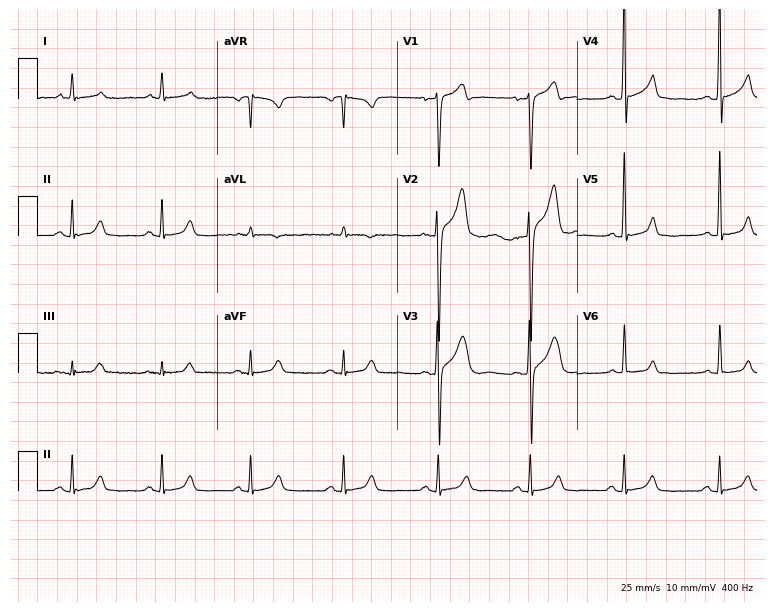
ECG — a man, 51 years old. Labelled as a normal ECG.